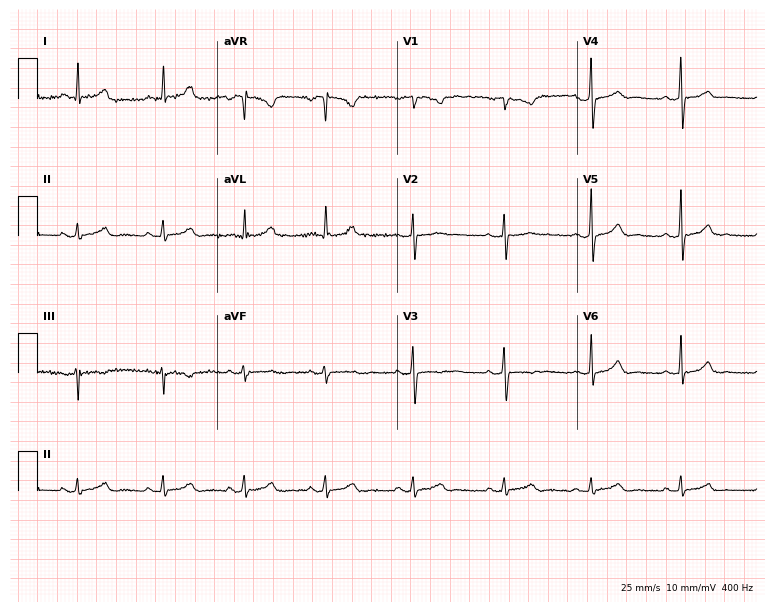
Standard 12-lead ECG recorded from a woman, 39 years old. Read as a normal ECG.